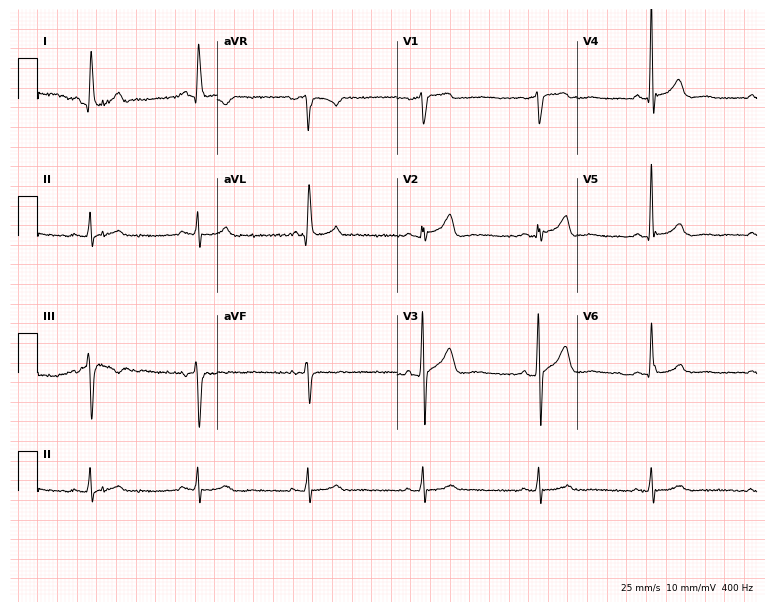
ECG — a 72-year-old male patient. Screened for six findings — first-degree AV block, right bundle branch block, left bundle branch block, sinus bradycardia, atrial fibrillation, sinus tachycardia — none is recorded.